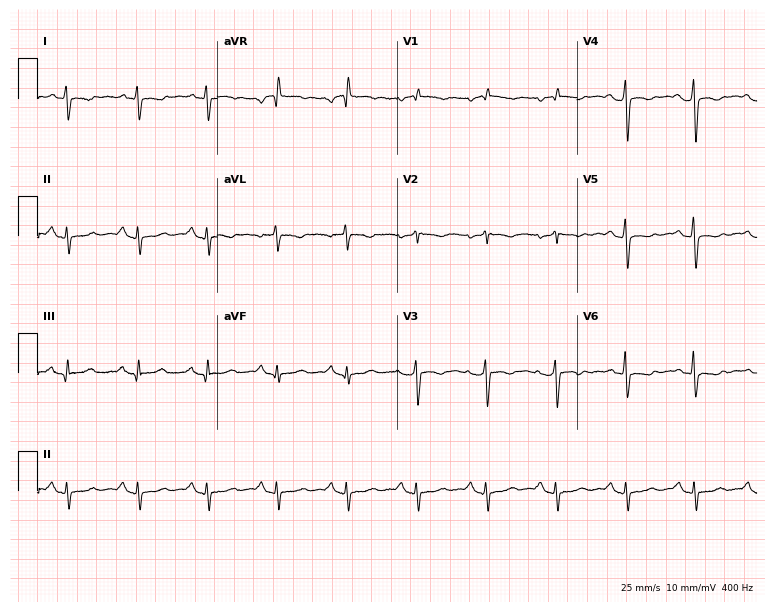
12-lead ECG (7.3-second recording at 400 Hz) from a 56-year-old woman. Screened for six findings — first-degree AV block, right bundle branch block, left bundle branch block, sinus bradycardia, atrial fibrillation, sinus tachycardia — none is recorded.